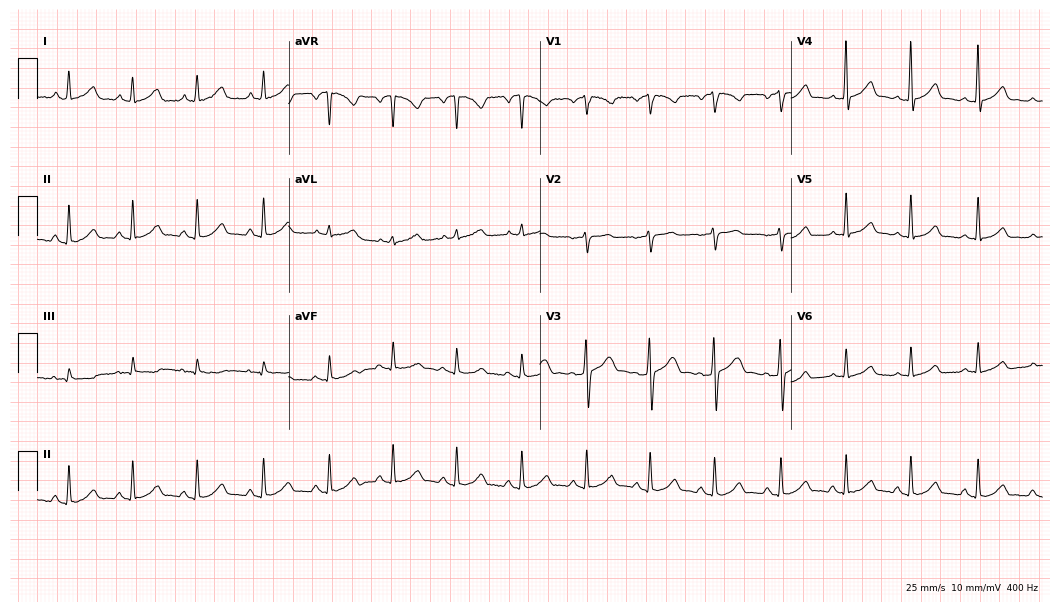
Standard 12-lead ECG recorded from a 29-year-old female. Read as a normal ECG.